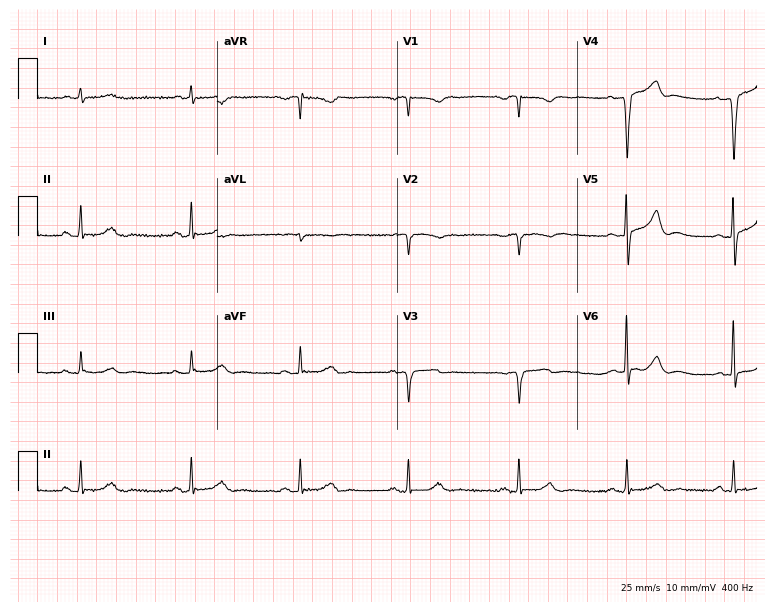
12-lead ECG from a man, 69 years old. No first-degree AV block, right bundle branch block, left bundle branch block, sinus bradycardia, atrial fibrillation or sinus tachycardia recorded for this tracing. Other findings, if any, are not listed.